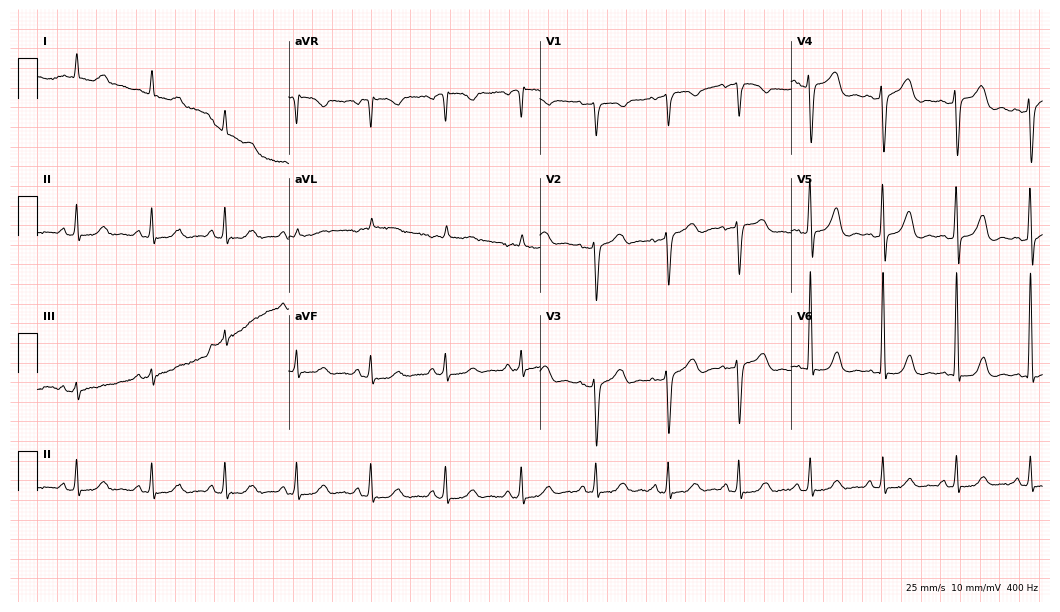
Standard 12-lead ECG recorded from a woman, 75 years old. Read as a normal ECG.